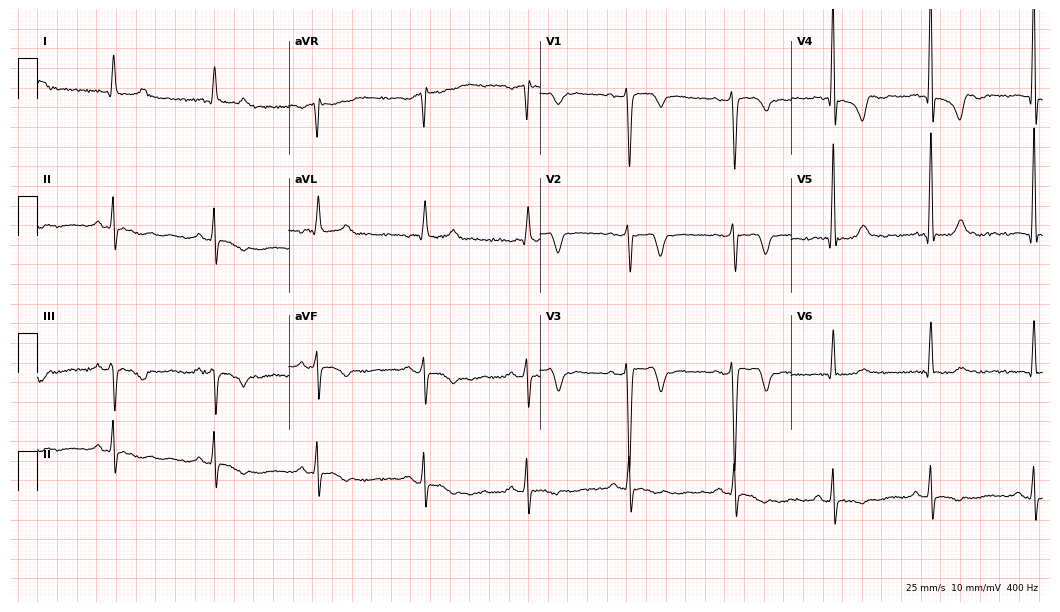
12-lead ECG (10.2-second recording at 400 Hz) from a 39-year-old male. Labelled as a normal ECG.